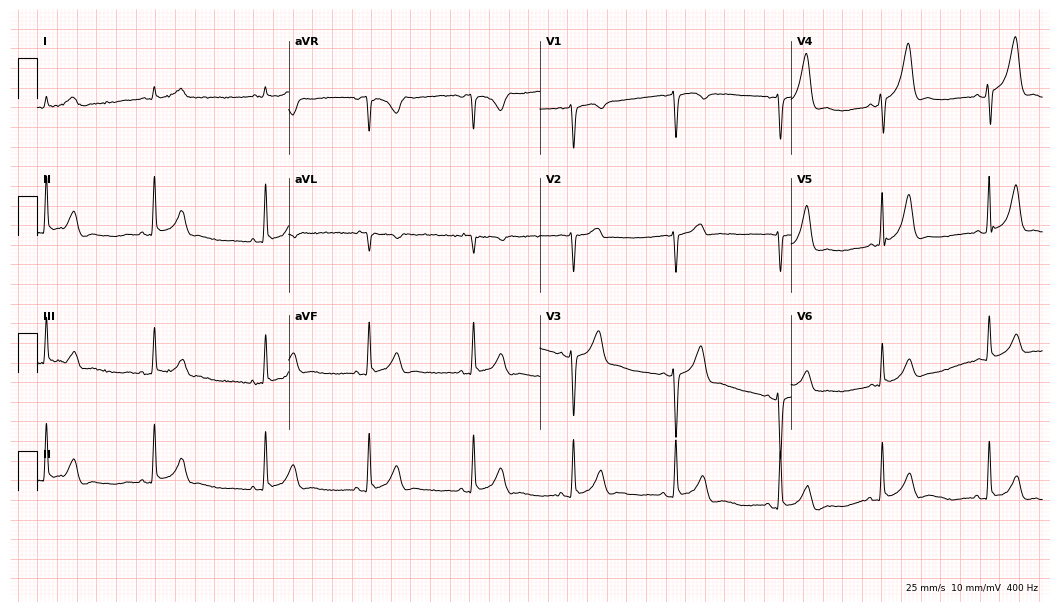
Standard 12-lead ECG recorded from a 45-year-old man. Read as a normal ECG.